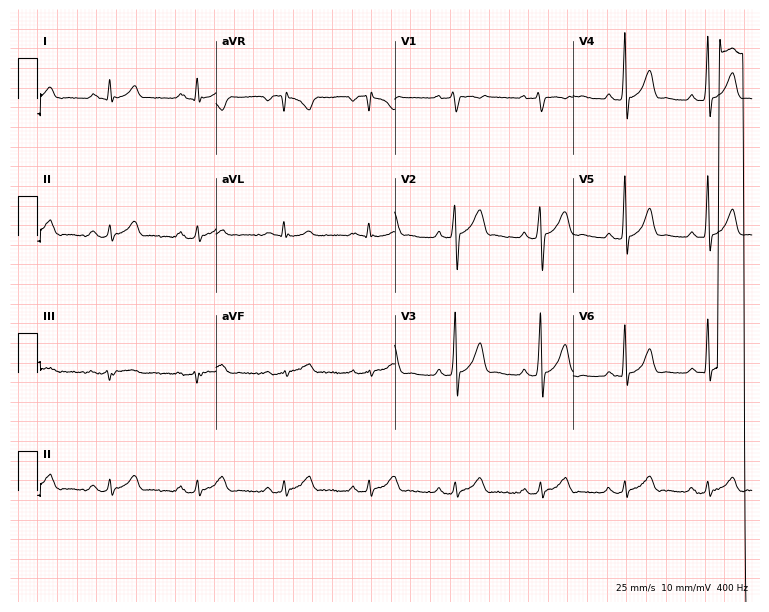
12-lead ECG (7.3-second recording at 400 Hz) from a 36-year-old male patient. Labelled as a normal ECG.